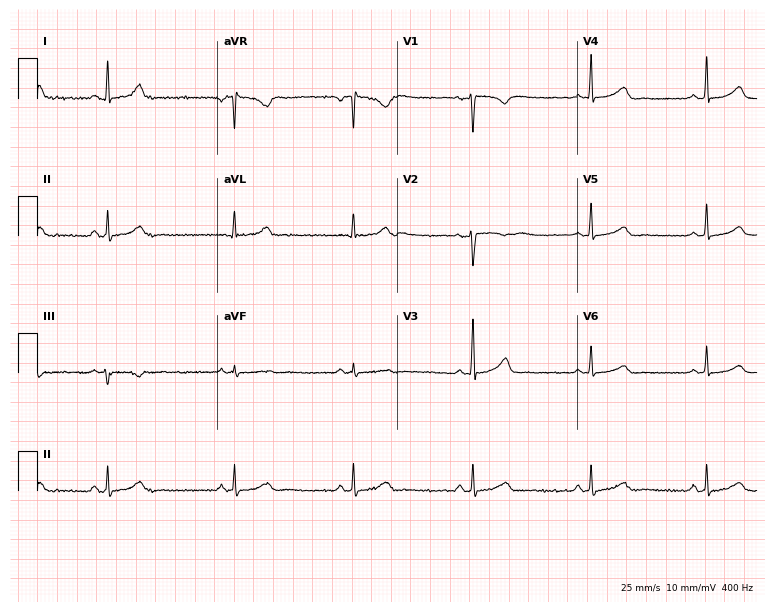
Resting 12-lead electrocardiogram. Patient: a 37-year-old female. Read as a normal ECG.